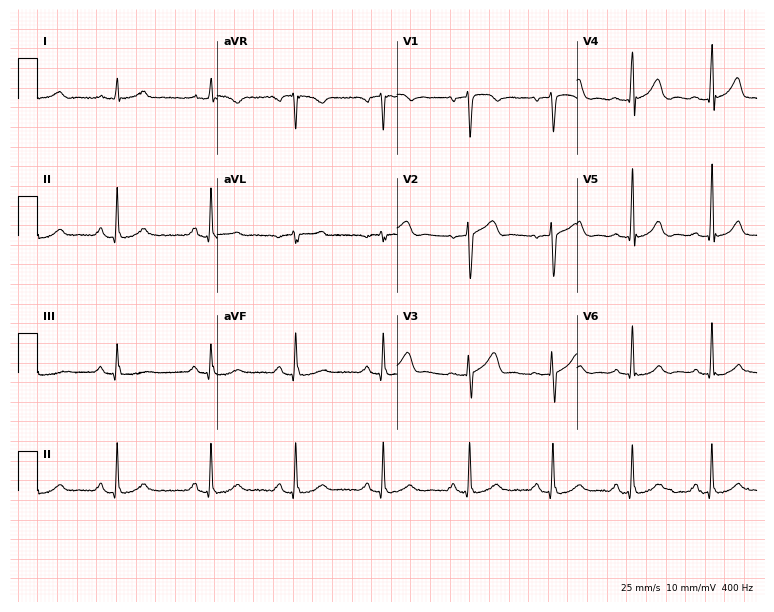
Resting 12-lead electrocardiogram. Patient: a 68-year-old man. Read as a normal ECG.